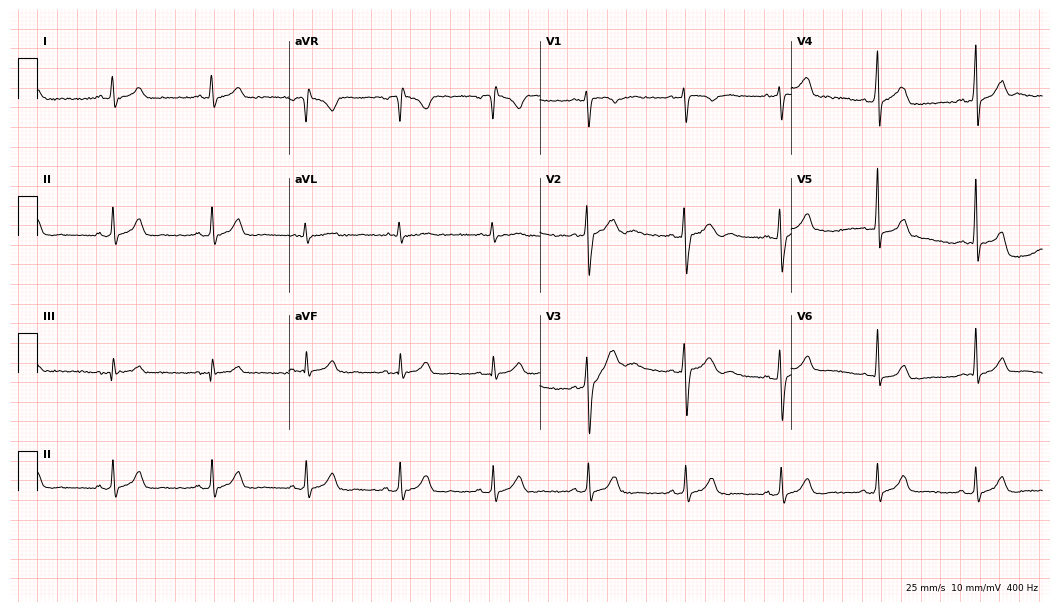
Resting 12-lead electrocardiogram. Patient: a 24-year-old man. Read as a normal ECG.